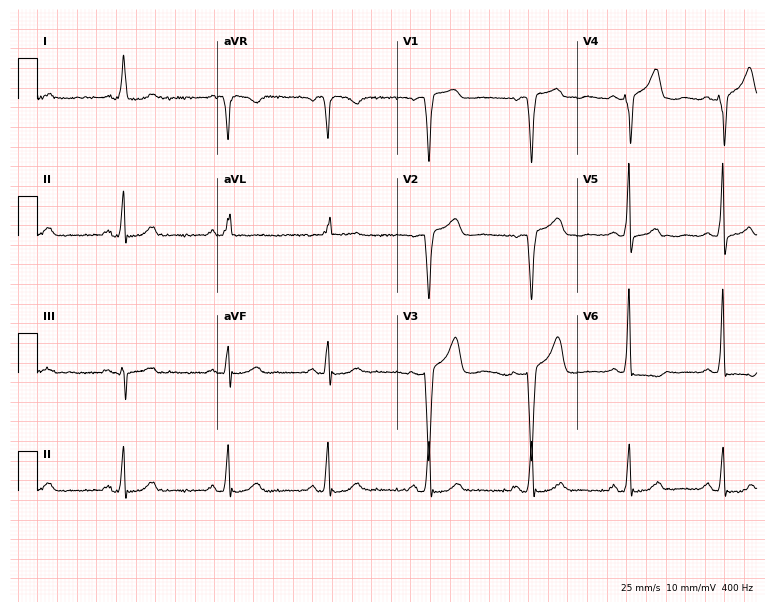
Electrocardiogram (7.3-second recording at 400 Hz), a female, 74 years old. Of the six screened findings (first-degree AV block, right bundle branch block, left bundle branch block, sinus bradycardia, atrial fibrillation, sinus tachycardia), none is recorded.